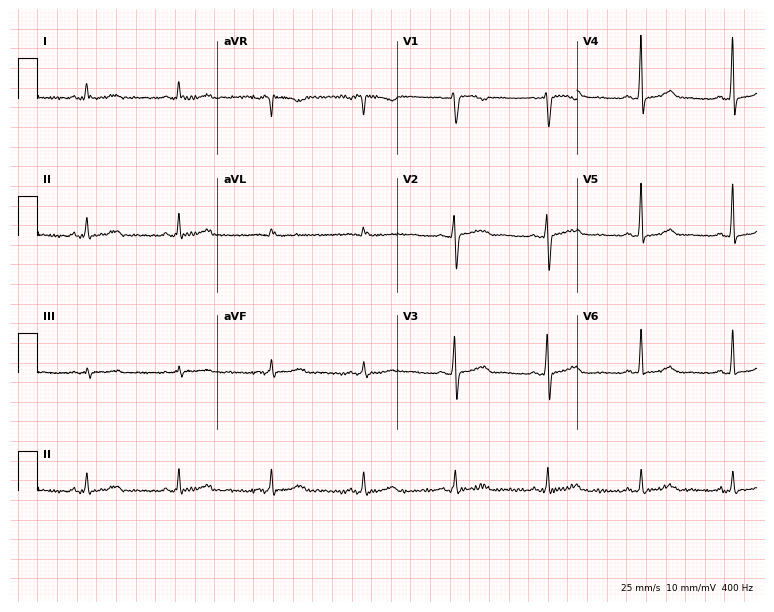
Resting 12-lead electrocardiogram (7.3-second recording at 400 Hz). Patient: a female, 43 years old. Read as a normal ECG.